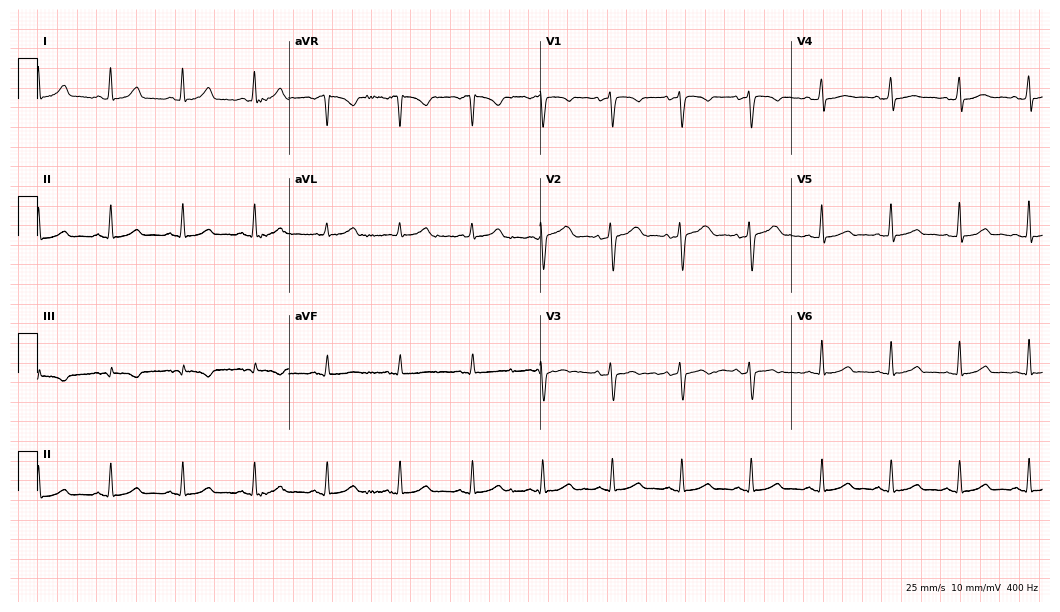
12-lead ECG from a woman, 33 years old (10.2-second recording at 400 Hz). Recorded interpretation: within normal limits.